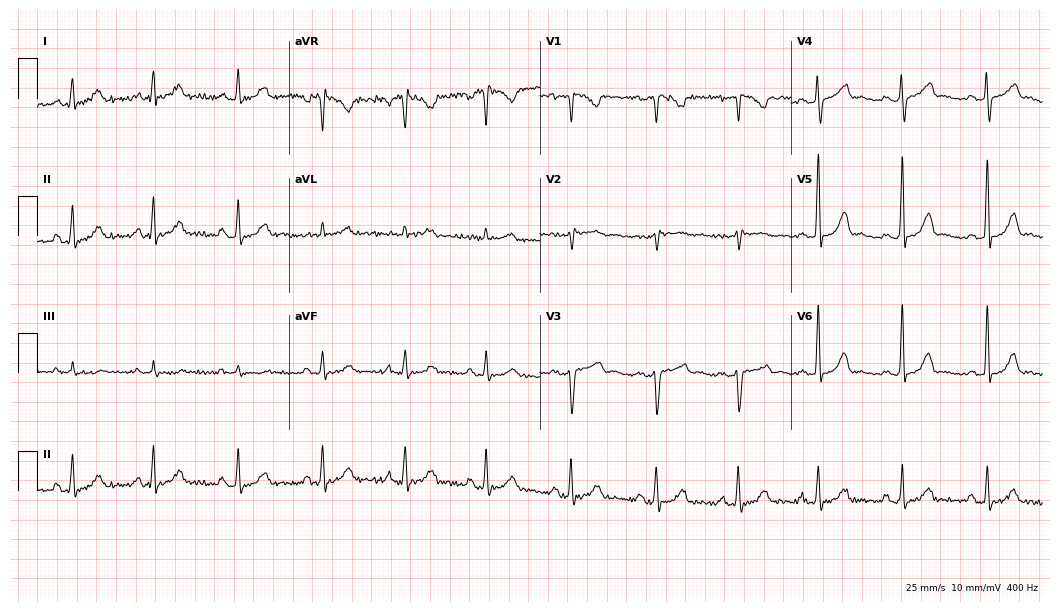
Electrocardiogram (10.2-second recording at 400 Hz), a woman, 31 years old. Overall reading on record: normal ECG.